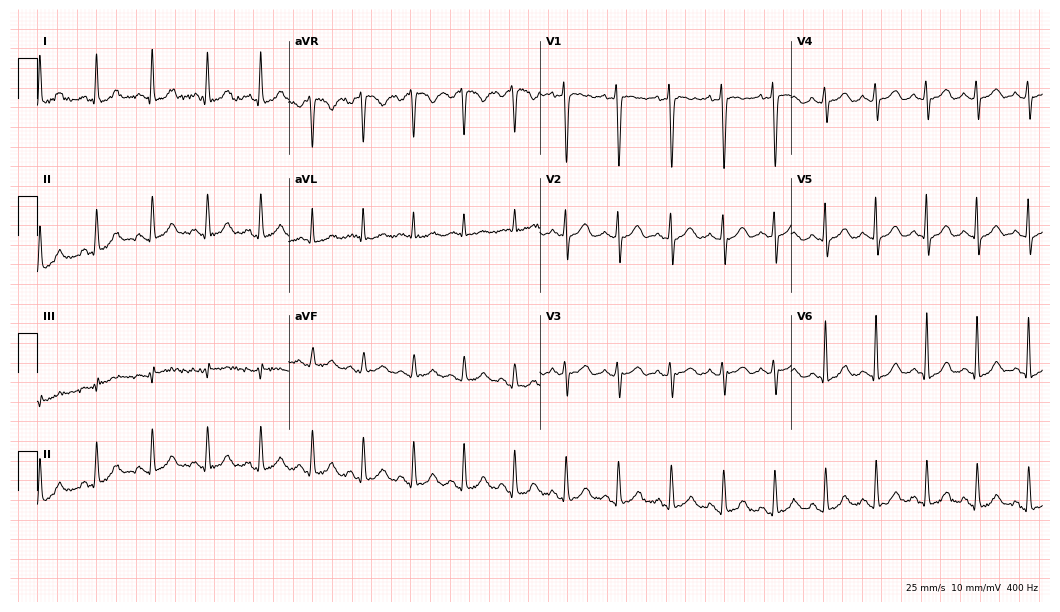
Standard 12-lead ECG recorded from a 46-year-old female (10.2-second recording at 400 Hz). The tracing shows sinus tachycardia (a sinus rate of 100 beats per minute or more).